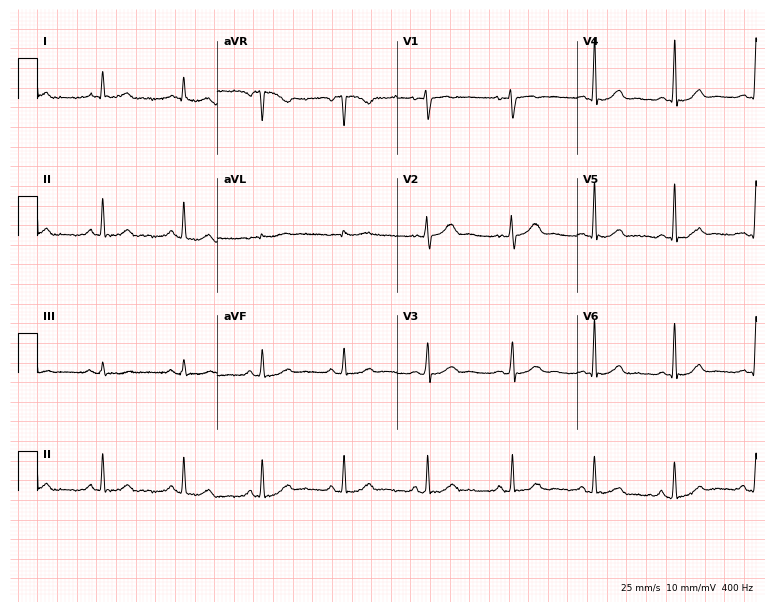
Resting 12-lead electrocardiogram. Patient: a 38-year-old female. Read as a normal ECG.